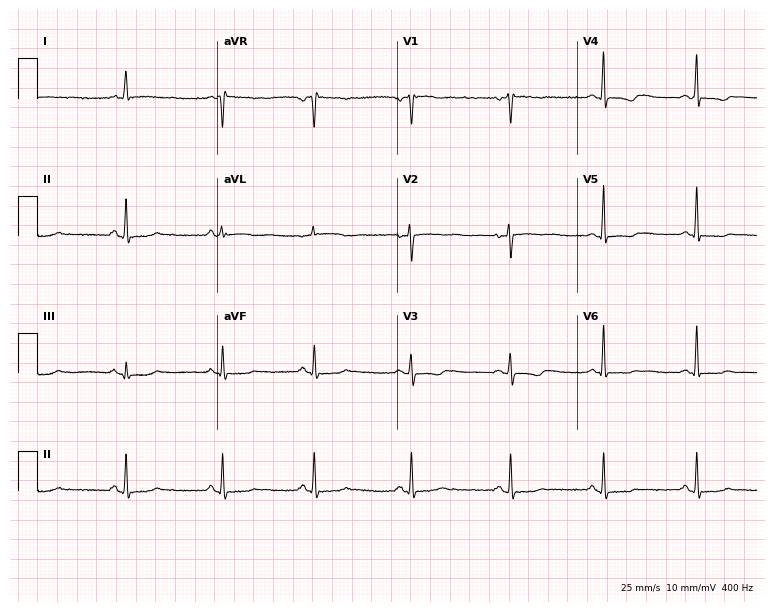
ECG — a 35-year-old female. Screened for six findings — first-degree AV block, right bundle branch block, left bundle branch block, sinus bradycardia, atrial fibrillation, sinus tachycardia — none is recorded.